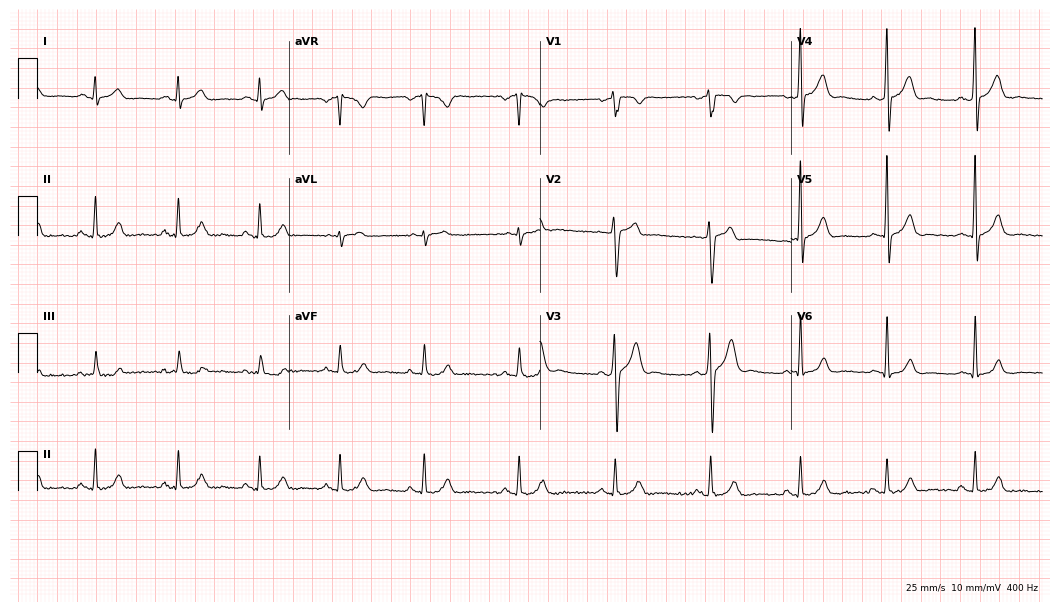
12-lead ECG from a 27-year-old male. Labelled as a normal ECG.